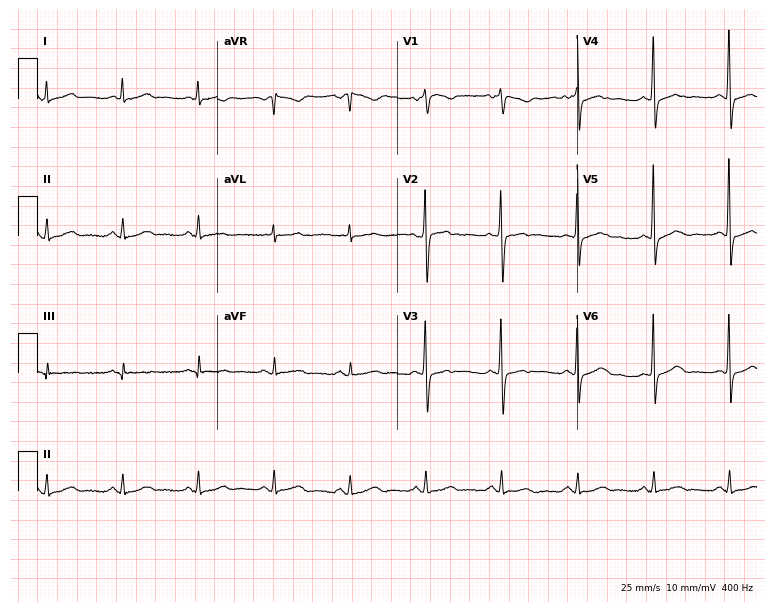
ECG — a male patient, 67 years old. Labelled as a normal ECG.